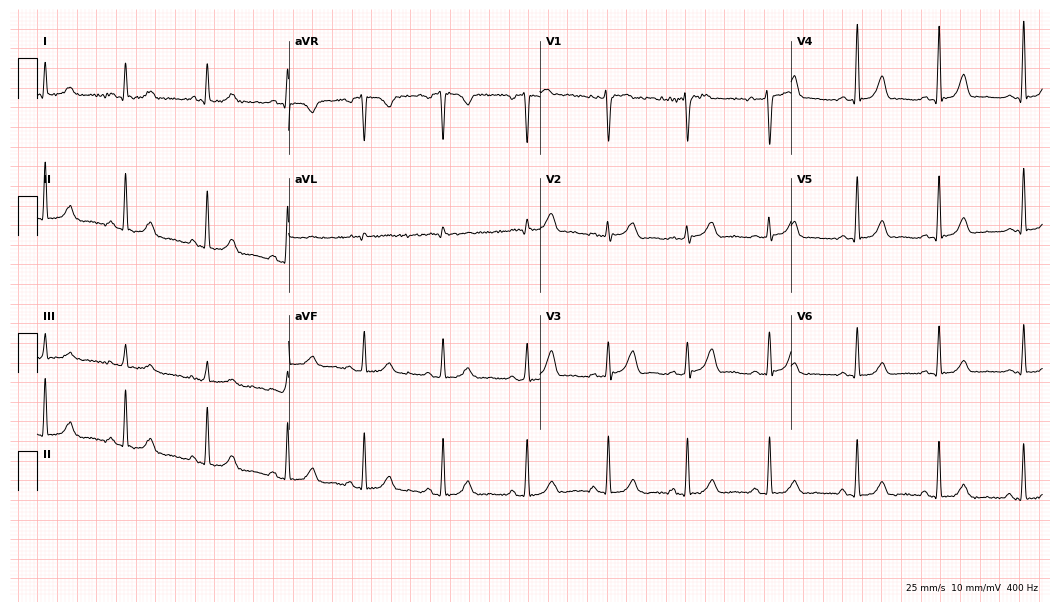
12-lead ECG from a 36-year-old female patient (10.2-second recording at 400 Hz). No first-degree AV block, right bundle branch block, left bundle branch block, sinus bradycardia, atrial fibrillation or sinus tachycardia recorded for this tracing. Only these six findings were labelled.